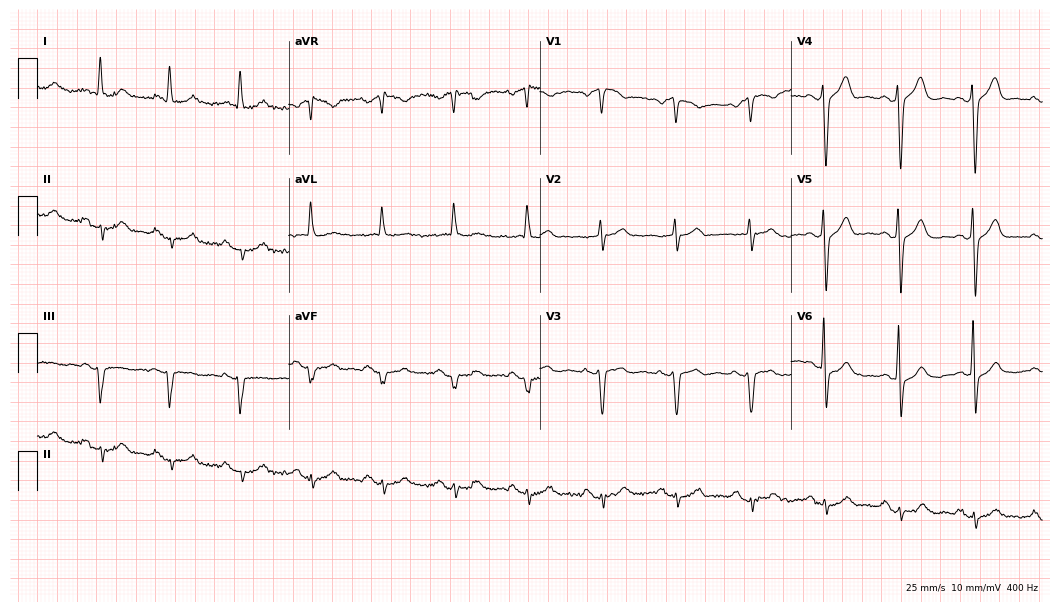
Electrocardiogram (10.2-second recording at 400 Hz), an 85-year-old male. Of the six screened findings (first-degree AV block, right bundle branch block (RBBB), left bundle branch block (LBBB), sinus bradycardia, atrial fibrillation (AF), sinus tachycardia), none is recorded.